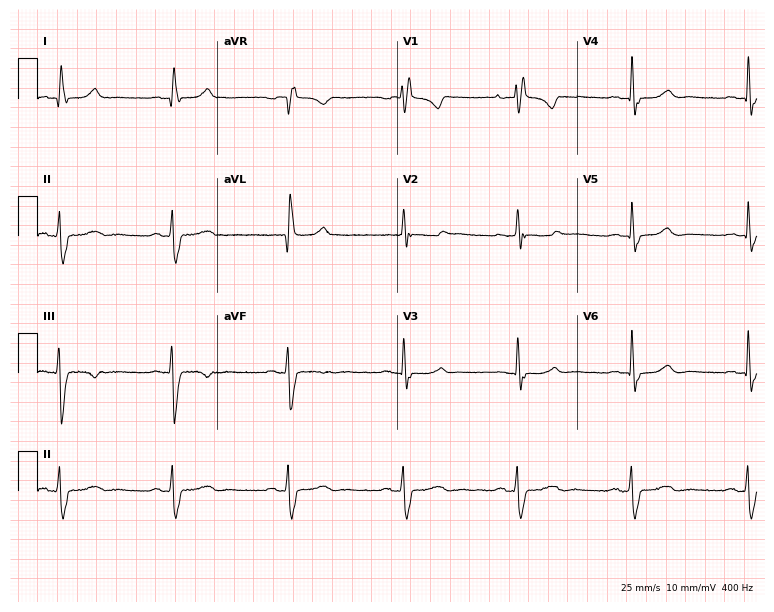
Electrocardiogram, a 47-year-old woman. Interpretation includes right bundle branch block.